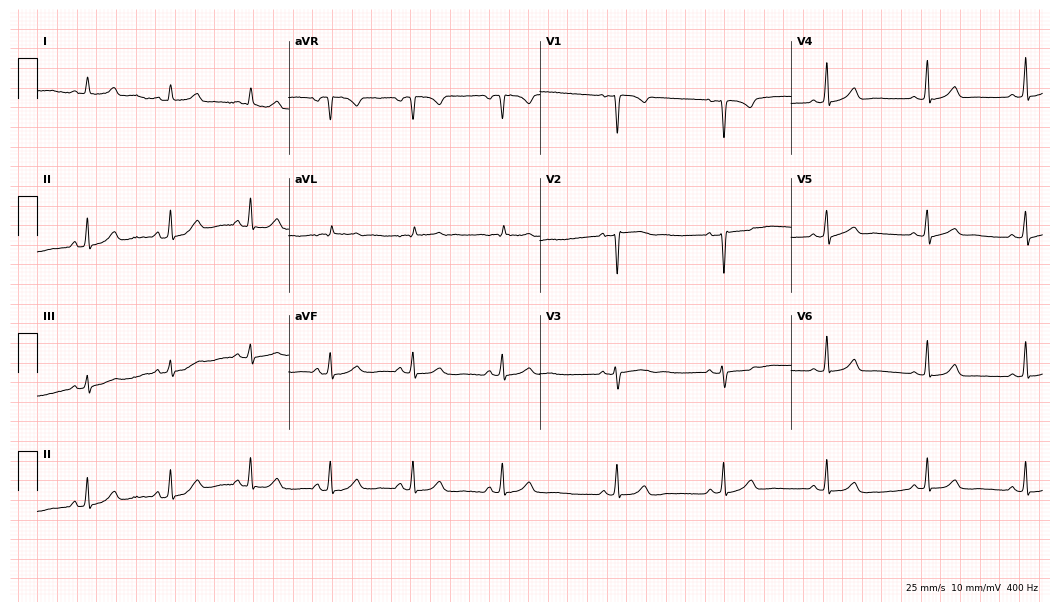
Standard 12-lead ECG recorded from a female, 44 years old. Read as a normal ECG.